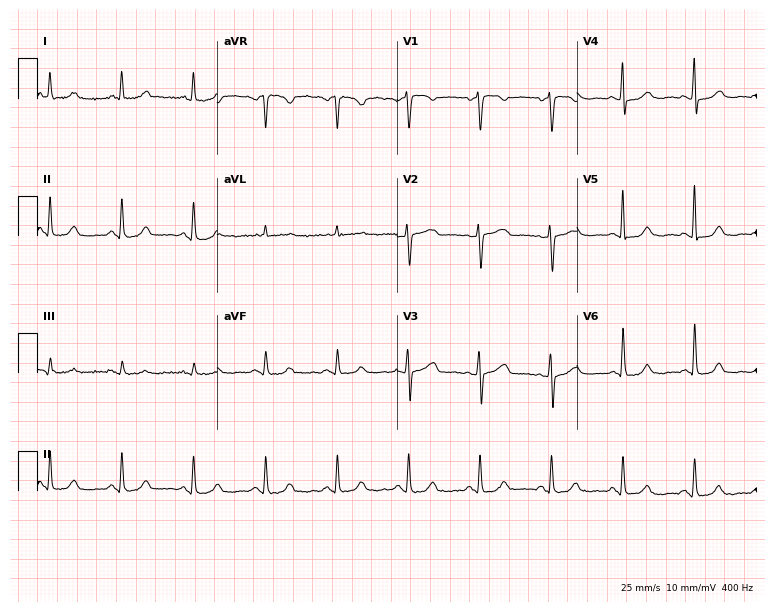
ECG — a 56-year-old female. Screened for six findings — first-degree AV block, right bundle branch block, left bundle branch block, sinus bradycardia, atrial fibrillation, sinus tachycardia — none is recorded. Only these six findings were labelled.